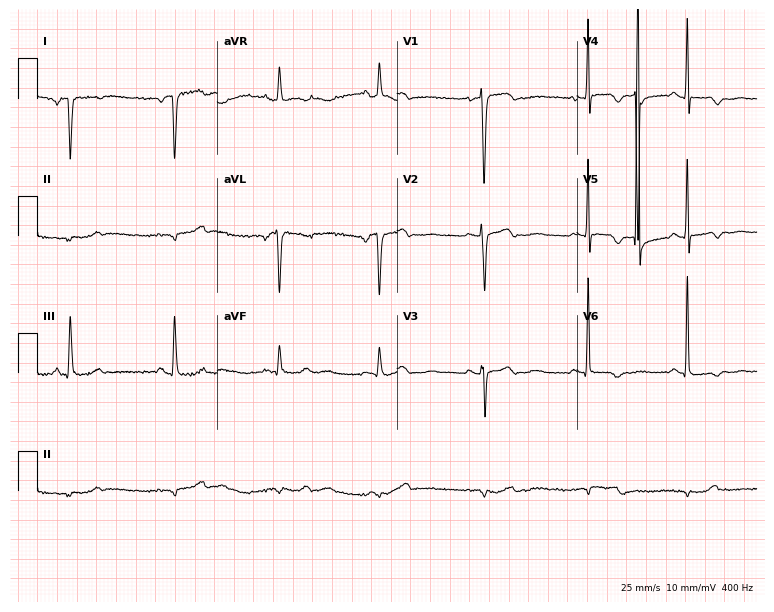
Resting 12-lead electrocardiogram. Patient: a 58-year-old female. Read as a normal ECG.